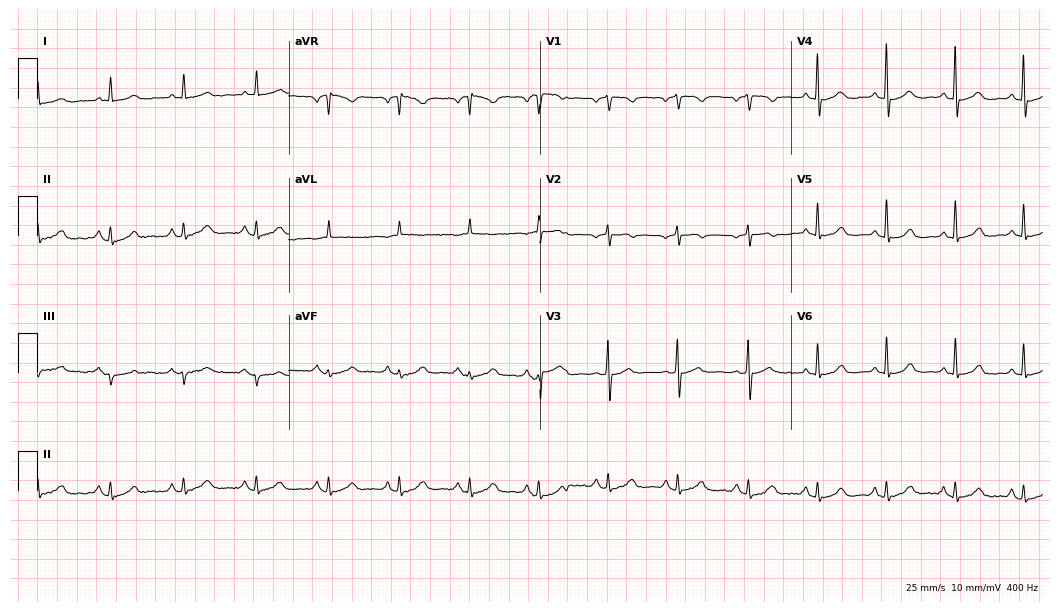
Resting 12-lead electrocardiogram (10.2-second recording at 400 Hz). Patient: a female, 74 years old. Read as a normal ECG.